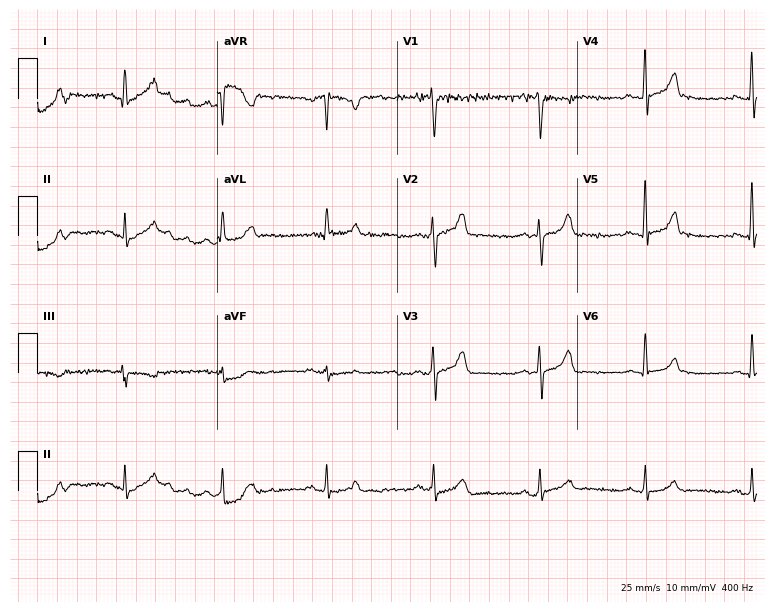
12-lead ECG (7.3-second recording at 400 Hz) from a man, 25 years old. Labelled as a normal ECG.